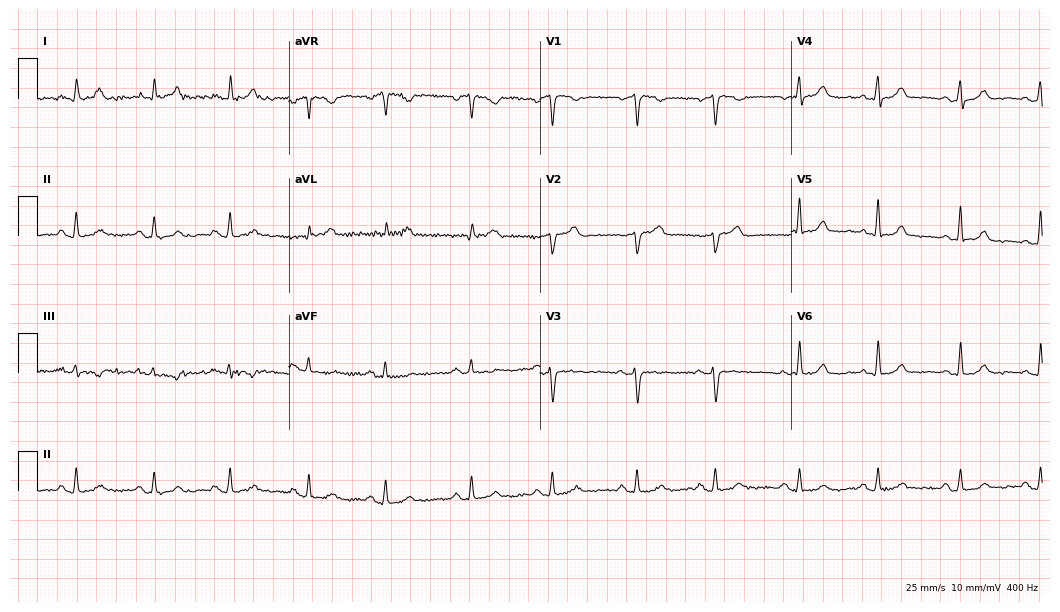
Electrocardiogram, a 47-year-old female. Of the six screened findings (first-degree AV block, right bundle branch block (RBBB), left bundle branch block (LBBB), sinus bradycardia, atrial fibrillation (AF), sinus tachycardia), none is recorded.